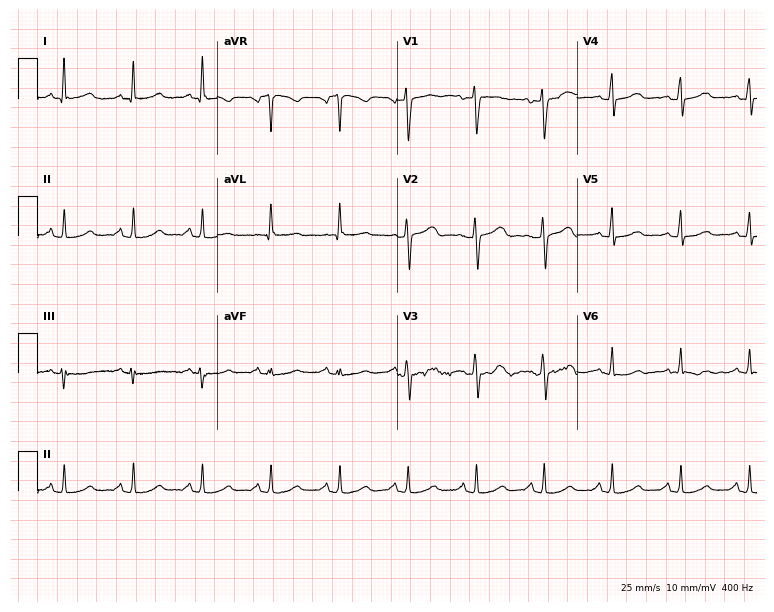
Electrocardiogram, a woman, 50 years old. Overall reading on record: normal ECG.